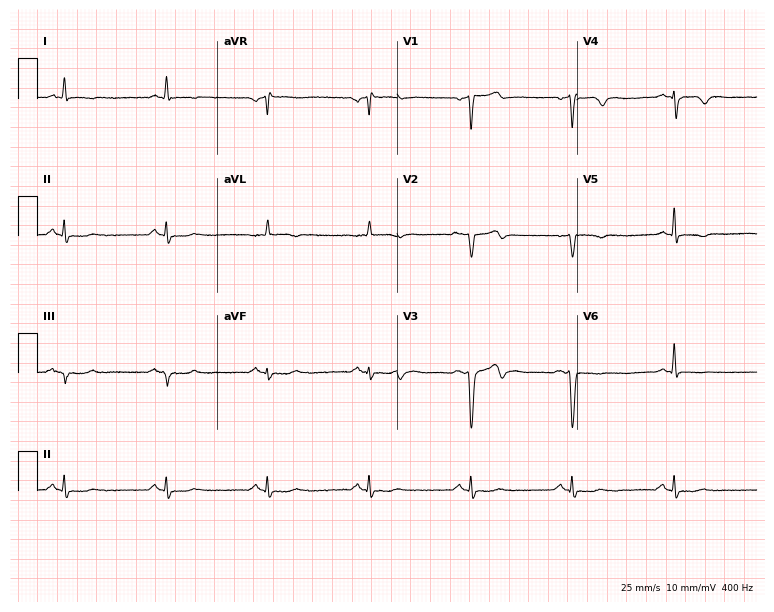
12-lead ECG (7.3-second recording at 400 Hz) from a 62-year-old male patient. Screened for six findings — first-degree AV block, right bundle branch block, left bundle branch block, sinus bradycardia, atrial fibrillation, sinus tachycardia — none is recorded. Other findings, if any, are not listed.